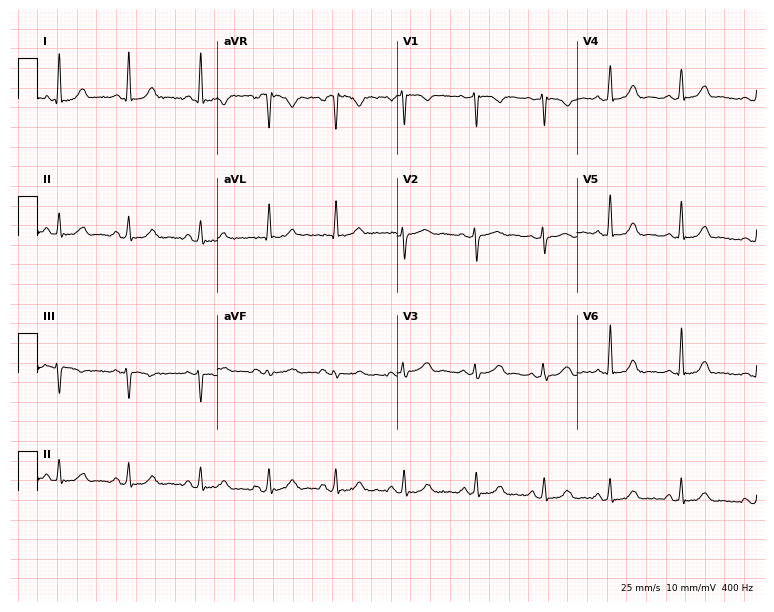
12-lead ECG from a 37-year-old female. No first-degree AV block, right bundle branch block, left bundle branch block, sinus bradycardia, atrial fibrillation or sinus tachycardia recorded for this tracing. Only these six findings were labelled.